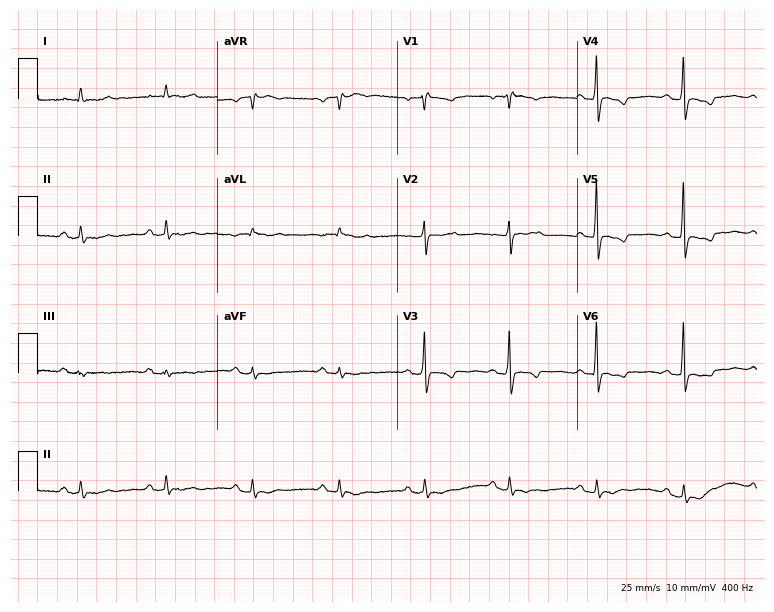
Resting 12-lead electrocardiogram. Patient: a woman, 73 years old. None of these six findings is recorded: first-degree AV block, right bundle branch block, left bundle branch block, sinus bradycardia, atrial fibrillation, sinus tachycardia. Only these six findings were labelled.